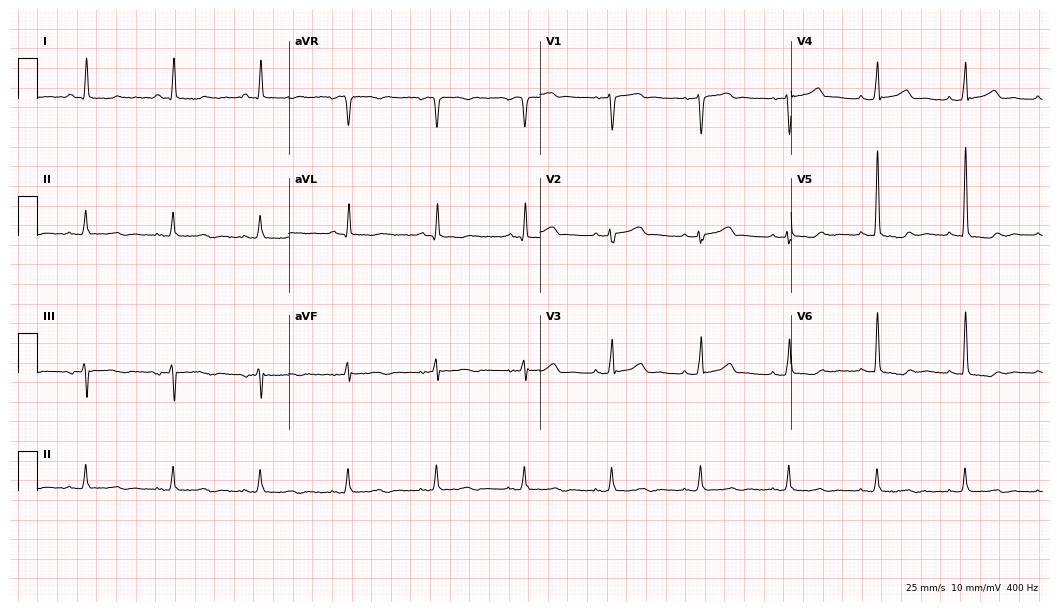
ECG — a male, 78 years old. Screened for six findings — first-degree AV block, right bundle branch block (RBBB), left bundle branch block (LBBB), sinus bradycardia, atrial fibrillation (AF), sinus tachycardia — none is recorded. Only these six findings were labelled.